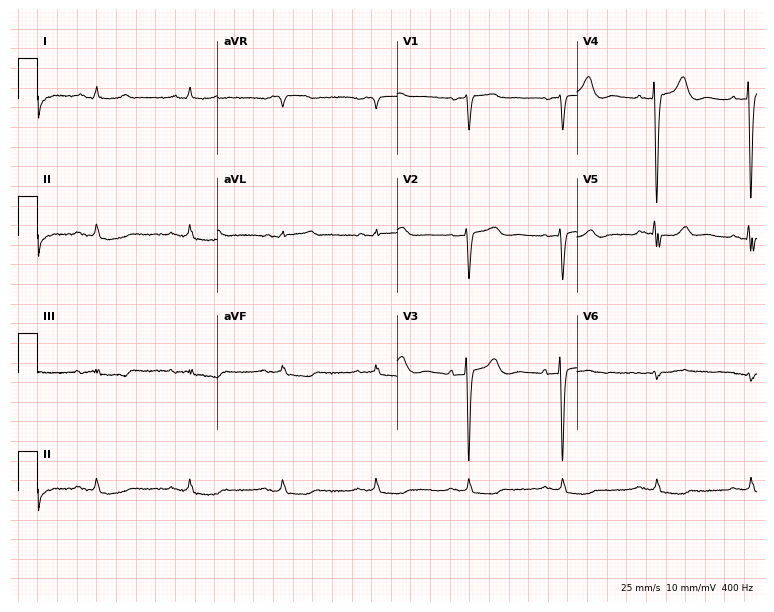
12-lead ECG from a male patient, 82 years old. Screened for six findings — first-degree AV block, right bundle branch block (RBBB), left bundle branch block (LBBB), sinus bradycardia, atrial fibrillation (AF), sinus tachycardia — none is recorded. Findings outside these six are not listed.